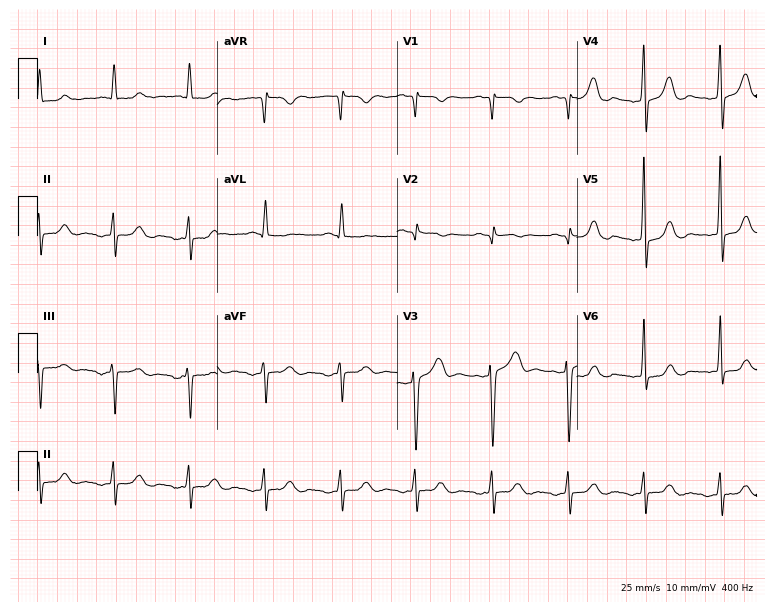
ECG (7.3-second recording at 400 Hz) — a 66-year-old woman. Screened for six findings — first-degree AV block, right bundle branch block (RBBB), left bundle branch block (LBBB), sinus bradycardia, atrial fibrillation (AF), sinus tachycardia — none is recorded. Findings outside these six are not listed.